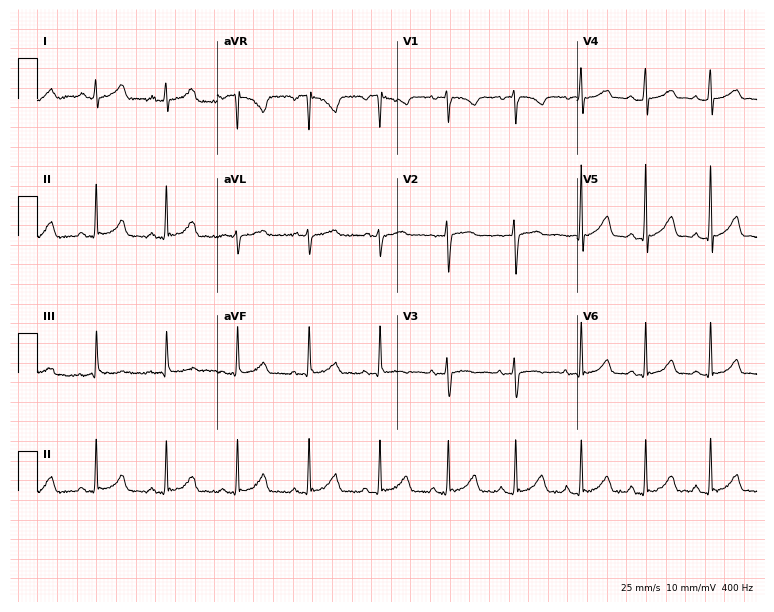
Electrocardiogram (7.3-second recording at 400 Hz), a 30-year-old female patient. Overall reading on record: normal ECG.